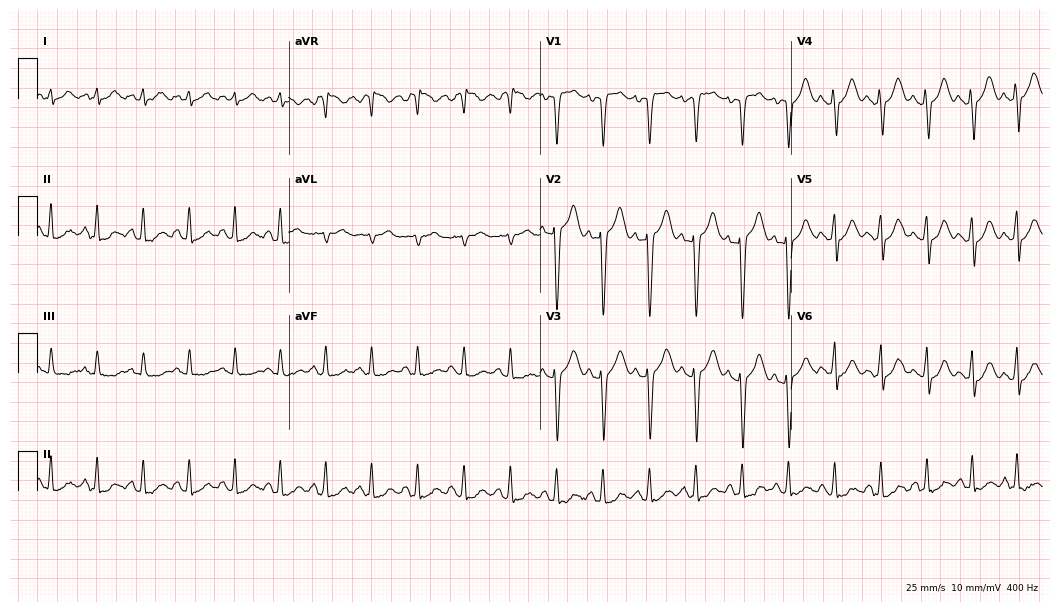
12-lead ECG from a female, 38 years old (10.2-second recording at 400 Hz). Shows sinus tachycardia (a sinus rate of 100 beats per minute or more).